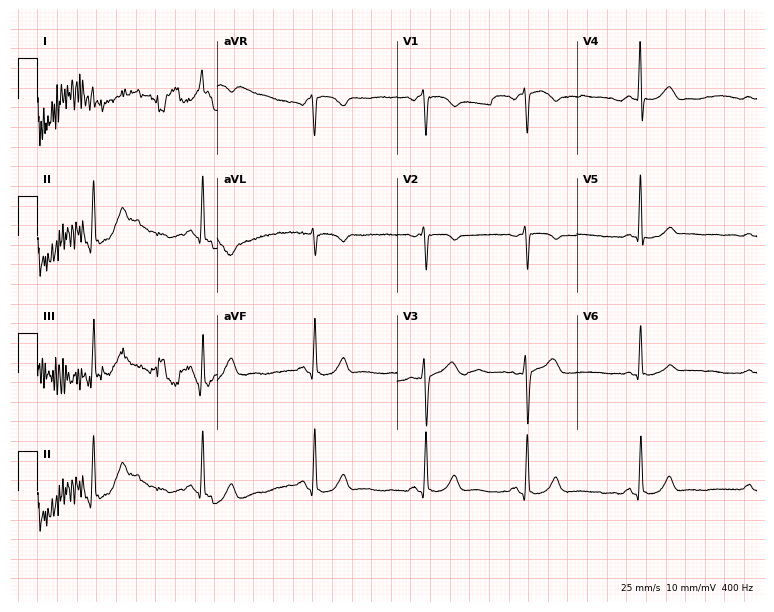
Resting 12-lead electrocardiogram (7.3-second recording at 400 Hz). Patient: a 61-year-old male. None of these six findings is recorded: first-degree AV block, right bundle branch block, left bundle branch block, sinus bradycardia, atrial fibrillation, sinus tachycardia.